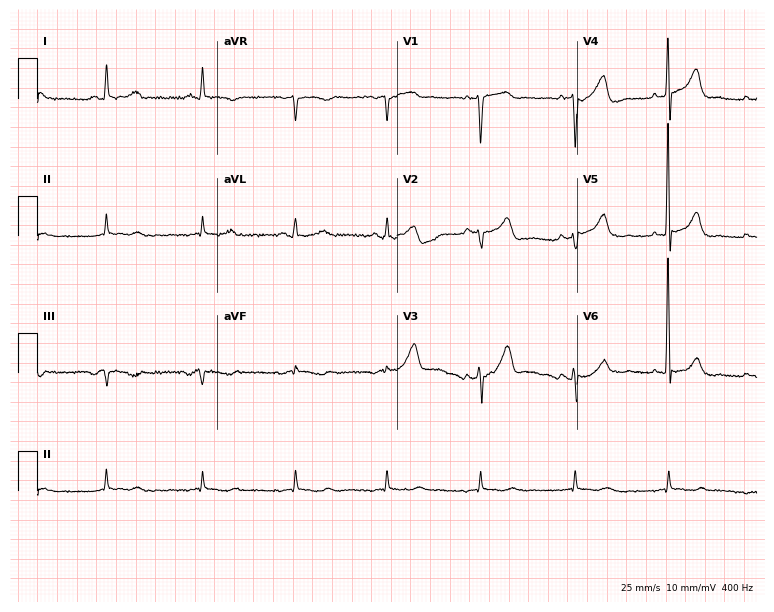
Standard 12-lead ECG recorded from a male patient, 68 years old. None of these six findings is recorded: first-degree AV block, right bundle branch block, left bundle branch block, sinus bradycardia, atrial fibrillation, sinus tachycardia.